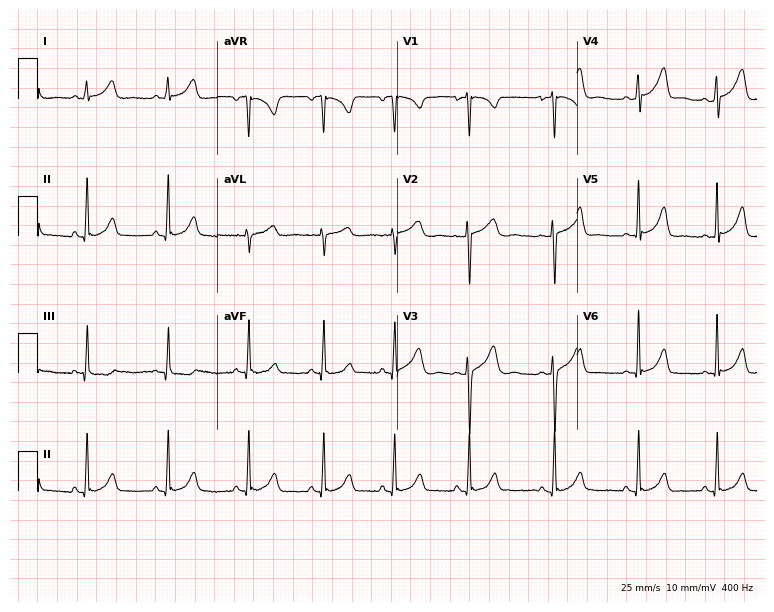
Electrocardiogram (7.3-second recording at 400 Hz), a 29-year-old female. Overall reading on record: normal ECG.